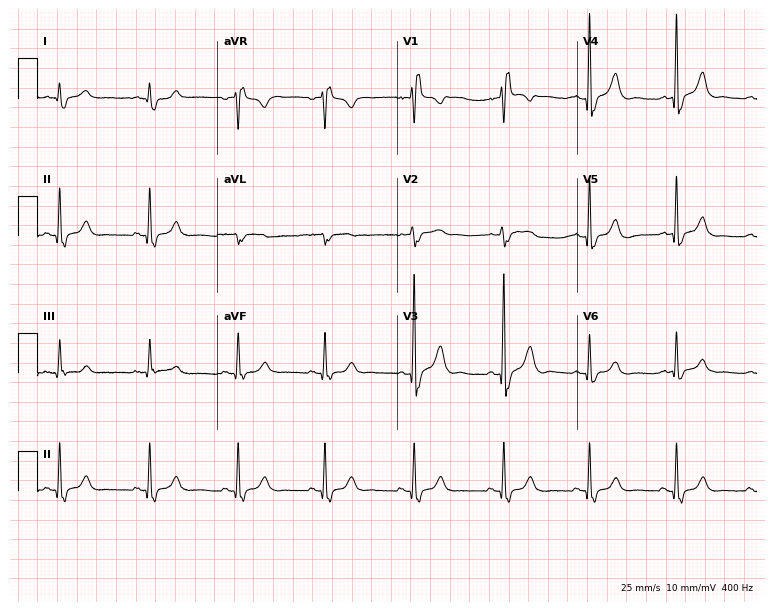
ECG — a 54-year-old man. Findings include right bundle branch block.